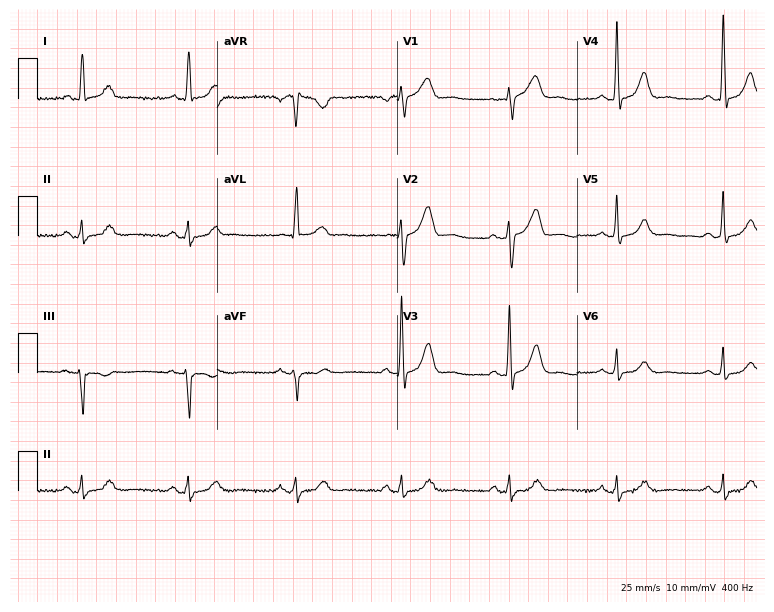
12-lead ECG from an 80-year-old man. Recorded interpretation: within normal limits.